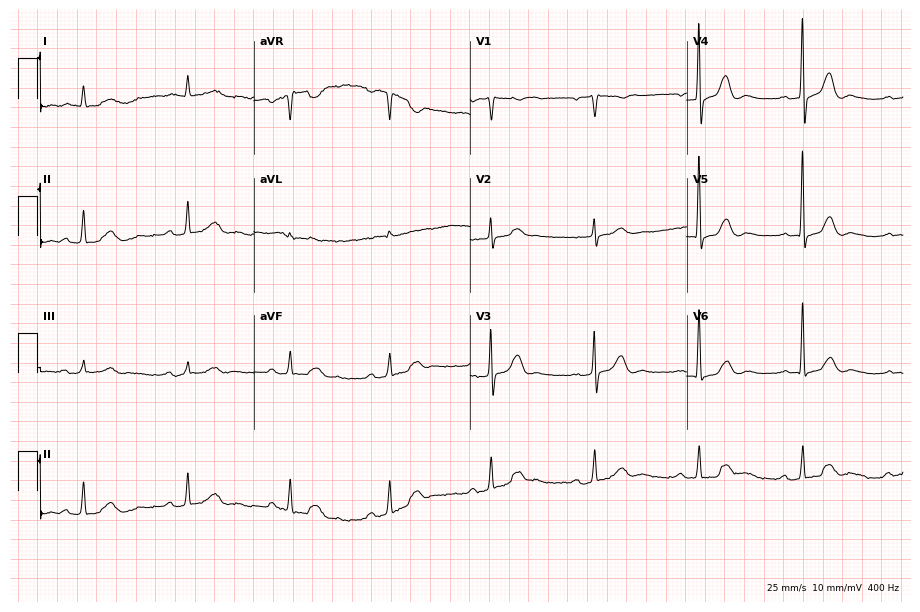
Resting 12-lead electrocardiogram (8.8-second recording at 400 Hz). Patient: a male, 67 years old. Read as a normal ECG.